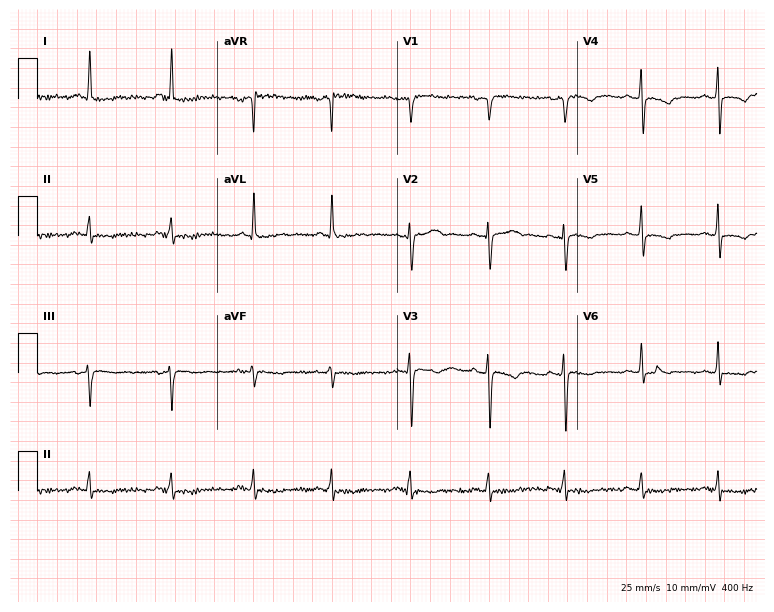
ECG (7.3-second recording at 400 Hz) — a female patient, 31 years old. Screened for six findings — first-degree AV block, right bundle branch block, left bundle branch block, sinus bradycardia, atrial fibrillation, sinus tachycardia — none is recorded. Findings outside these six are not listed.